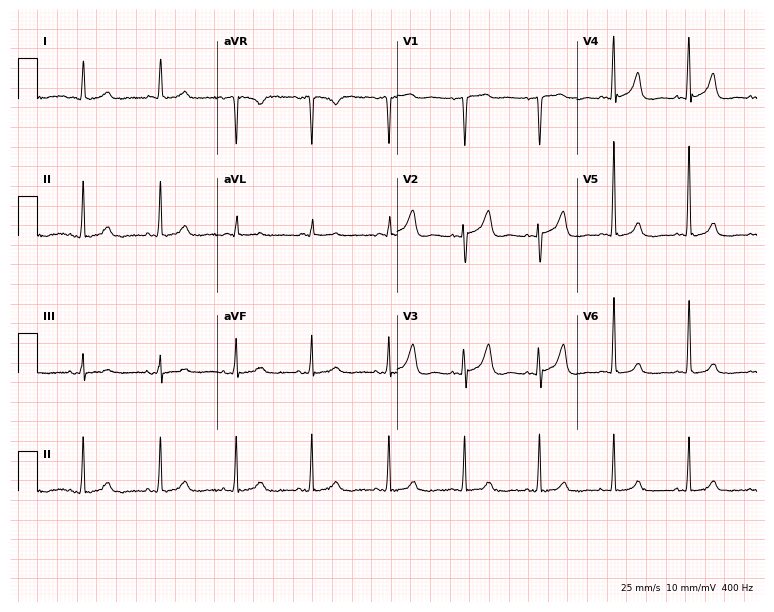
12-lead ECG from a female patient, 82 years old. No first-degree AV block, right bundle branch block, left bundle branch block, sinus bradycardia, atrial fibrillation or sinus tachycardia recorded for this tracing.